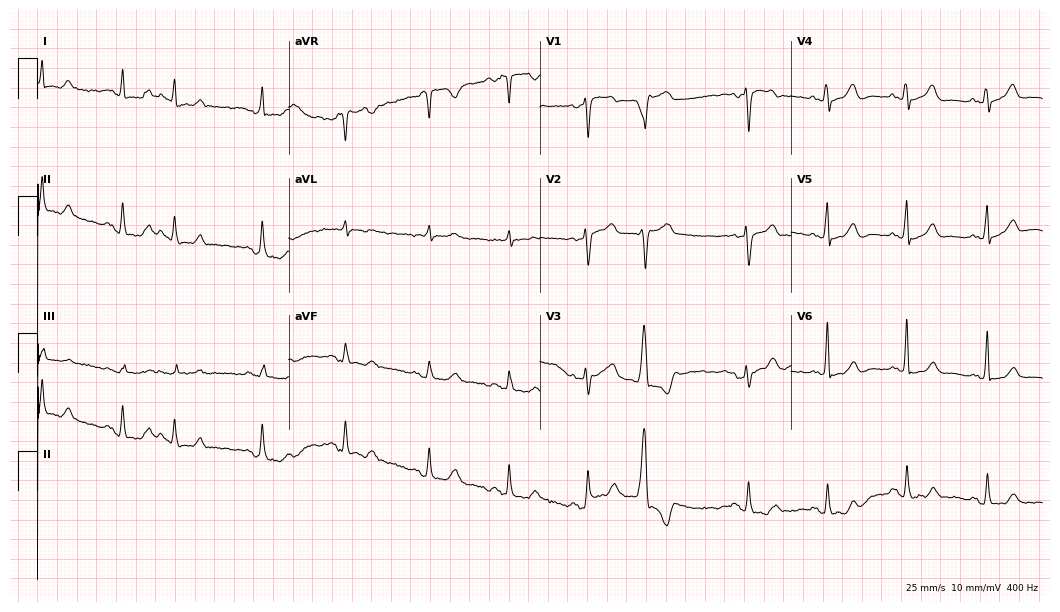
12-lead ECG (10.2-second recording at 400 Hz) from an 81-year-old female patient. Screened for six findings — first-degree AV block, right bundle branch block, left bundle branch block, sinus bradycardia, atrial fibrillation, sinus tachycardia — none is recorded.